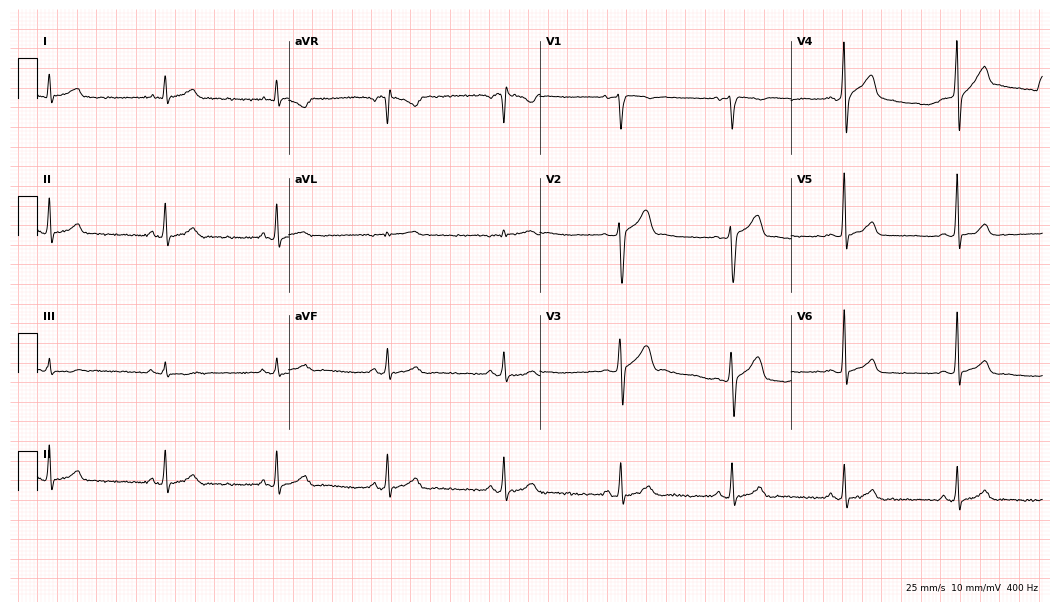
ECG — a 33-year-old man. Labelled as a normal ECG.